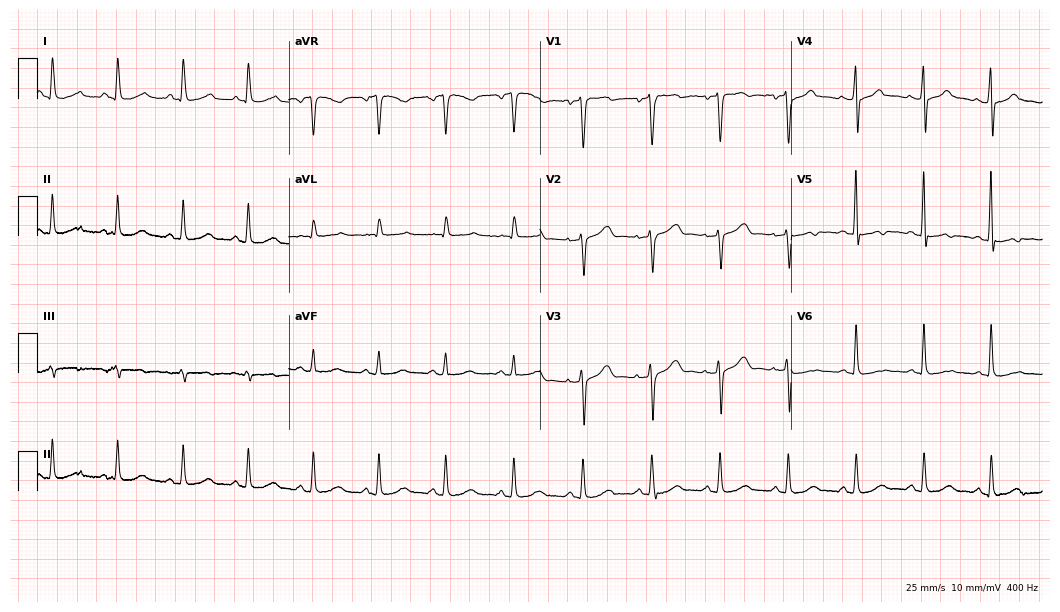
Resting 12-lead electrocardiogram (10.2-second recording at 400 Hz). Patient: a female, 58 years old. Read as a normal ECG.